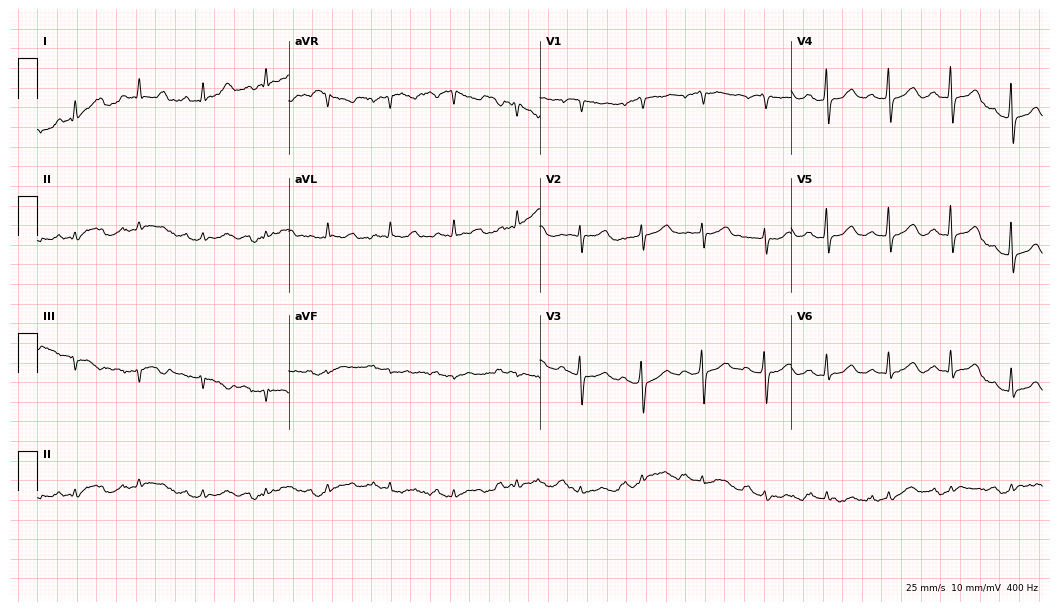
Standard 12-lead ECG recorded from a woman, 74 years old. None of these six findings is recorded: first-degree AV block, right bundle branch block (RBBB), left bundle branch block (LBBB), sinus bradycardia, atrial fibrillation (AF), sinus tachycardia.